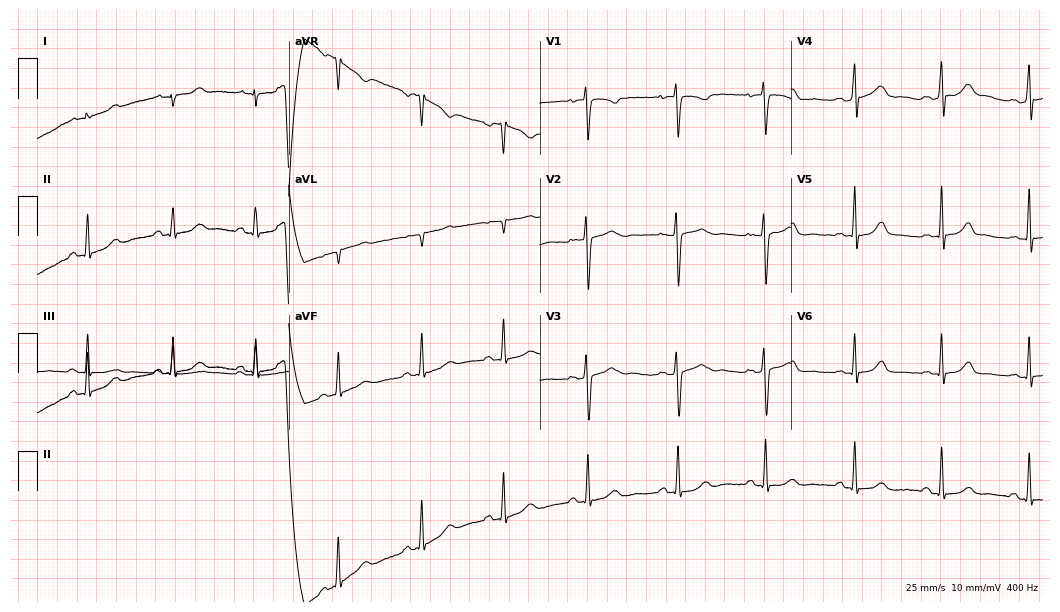
Standard 12-lead ECG recorded from a 32-year-old female (10.2-second recording at 400 Hz). Read as a normal ECG.